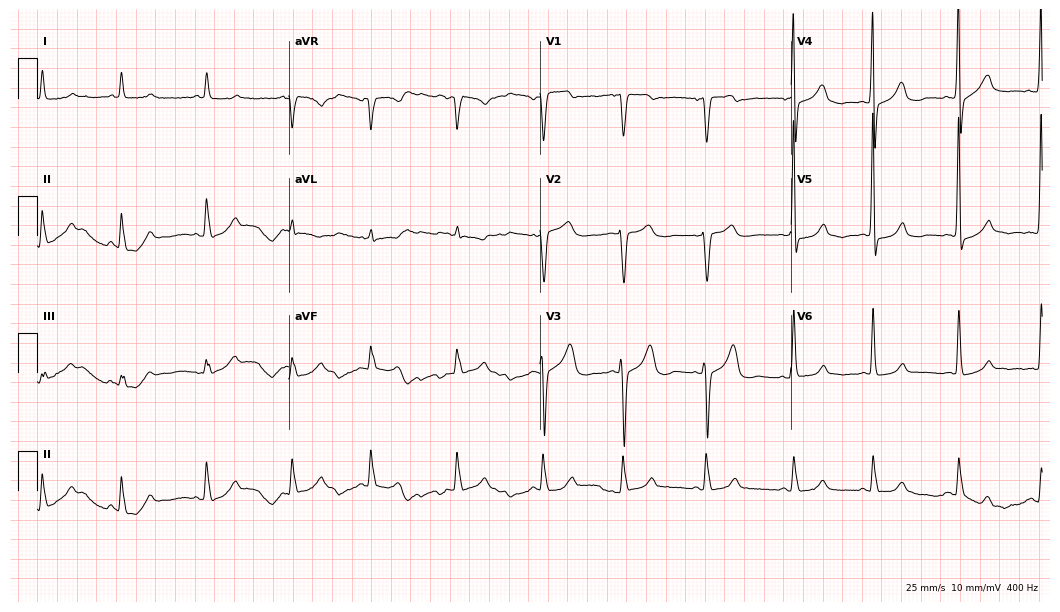
Resting 12-lead electrocardiogram (10.2-second recording at 400 Hz). Patient: a 70-year-old female. Read as a normal ECG.